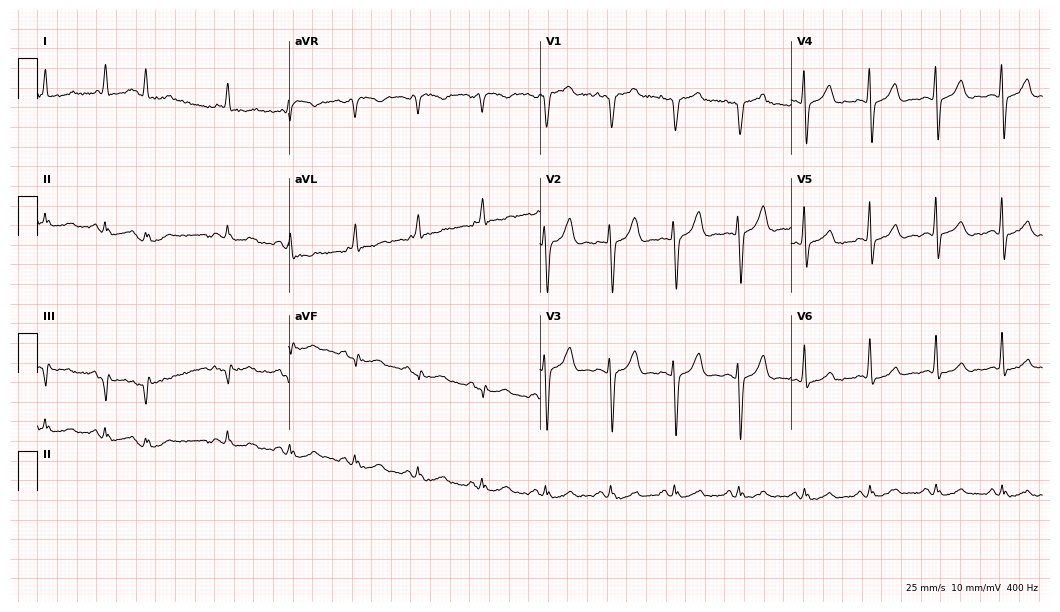
Standard 12-lead ECG recorded from a 75-year-old man (10.2-second recording at 400 Hz). The tracing shows atrial fibrillation (AF).